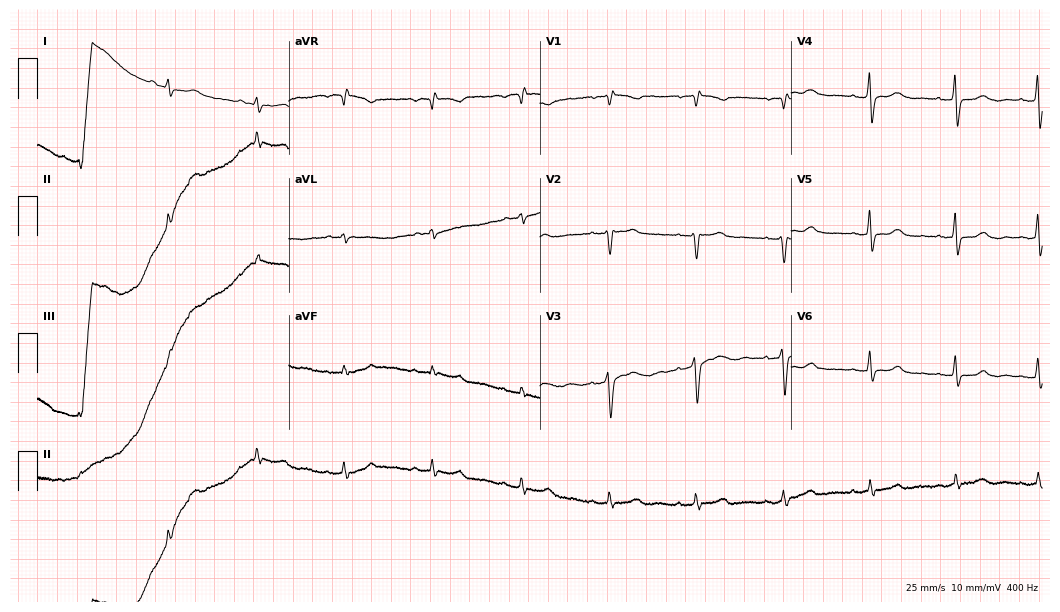
12-lead ECG from a female patient, 67 years old (10.2-second recording at 400 Hz). No first-degree AV block, right bundle branch block, left bundle branch block, sinus bradycardia, atrial fibrillation or sinus tachycardia recorded for this tracing. Findings outside these six are not listed.